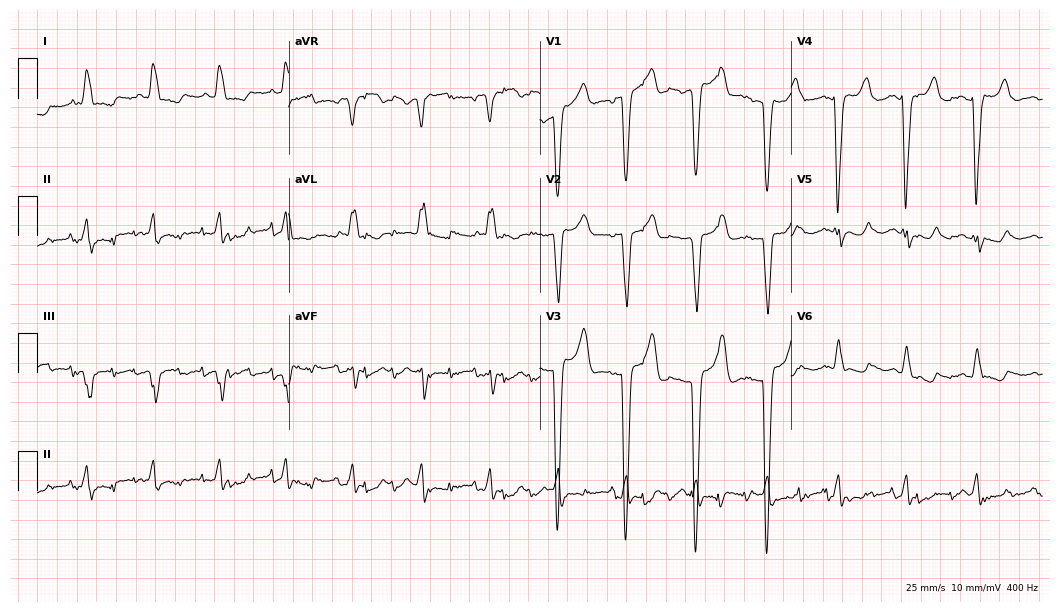
Electrocardiogram (10.2-second recording at 400 Hz), a 74-year-old female. Of the six screened findings (first-degree AV block, right bundle branch block, left bundle branch block, sinus bradycardia, atrial fibrillation, sinus tachycardia), none is recorded. Other findings, if any, are not listed.